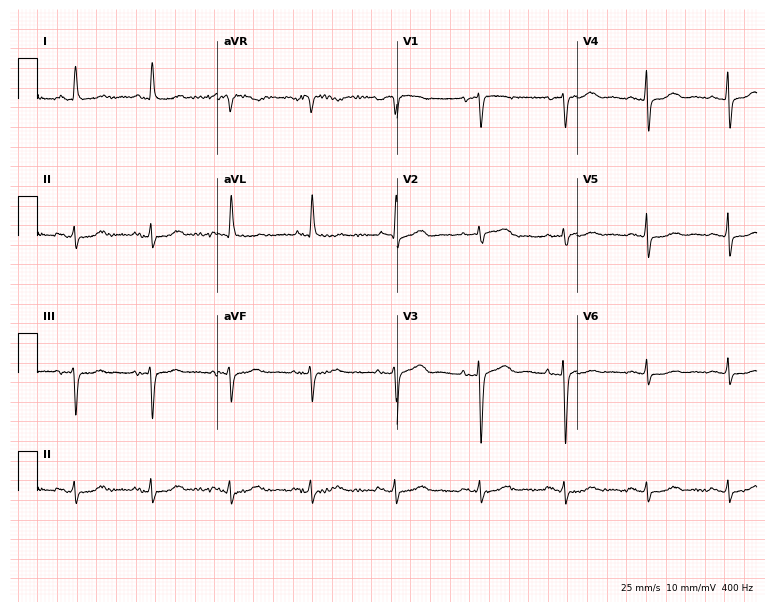
Electrocardiogram, a woman, 83 years old. Of the six screened findings (first-degree AV block, right bundle branch block, left bundle branch block, sinus bradycardia, atrial fibrillation, sinus tachycardia), none is recorded.